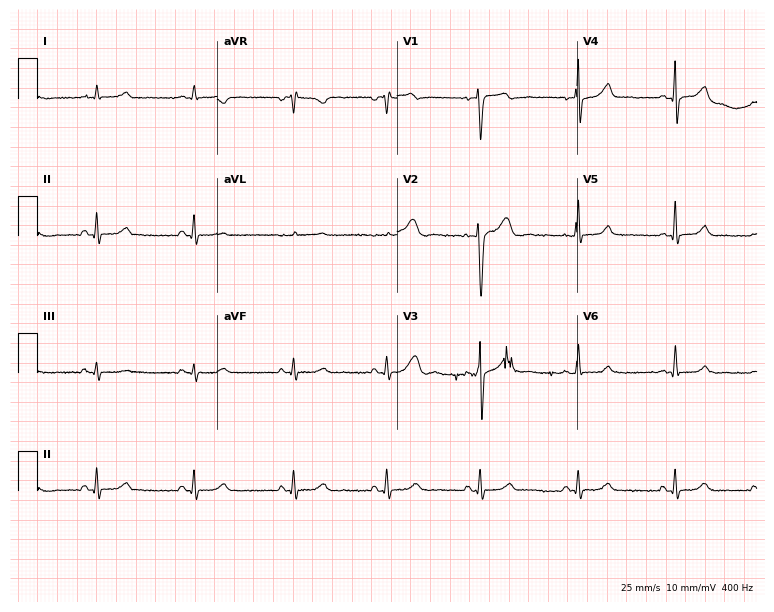
Electrocardiogram, a 25-year-old male patient. Overall reading on record: normal ECG.